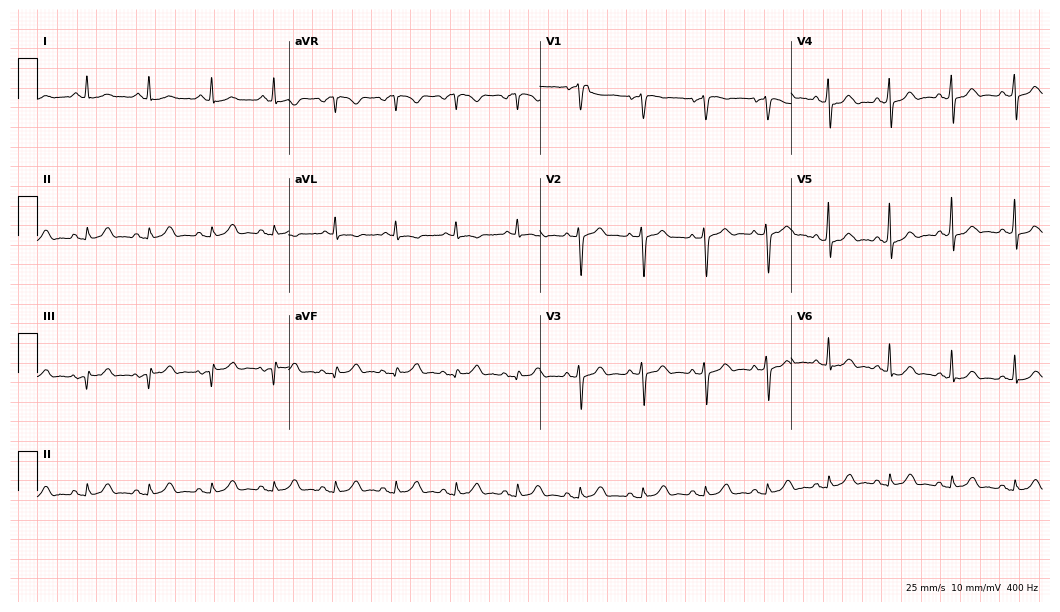
Resting 12-lead electrocardiogram. Patient: a male, 65 years old. Read as a normal ECG.